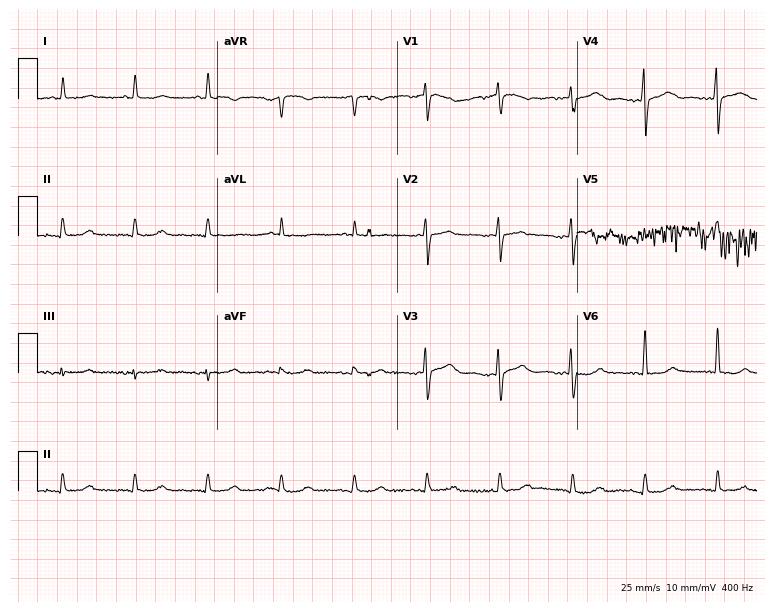
12-lead ECG from a female, 69 years old (7.3-second recording at 400 Hz). No first-degree AV block, right bundle branch block, left bundle branch block, sinus bradycardia, atrial fibrillation or sinus tachycardia recorded for this tracing.